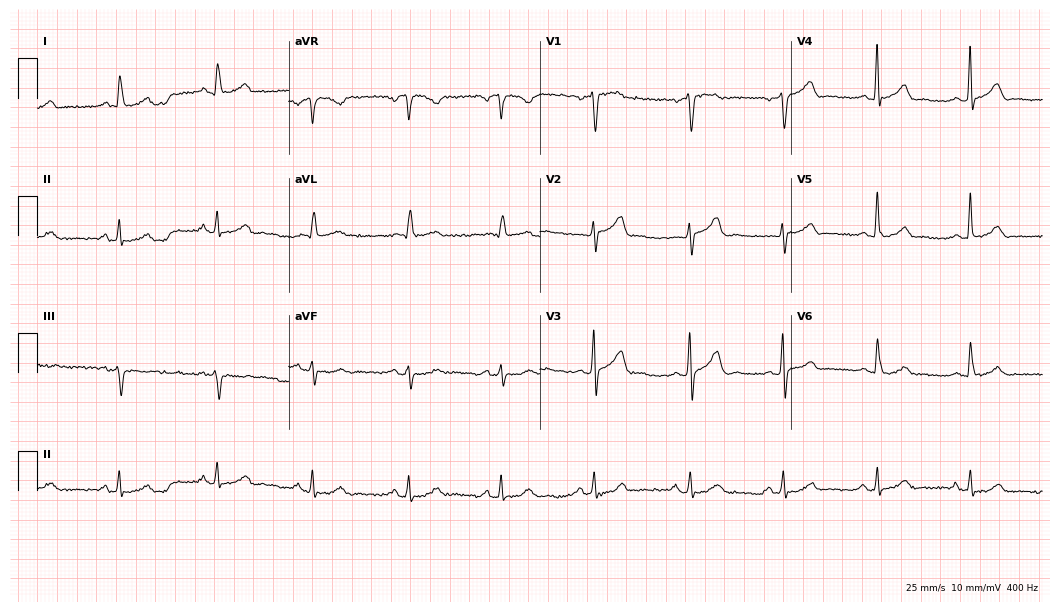
Resting 12-lead electrocardiogram. Patient: a male, 41 years old. Read as a normal ECG.